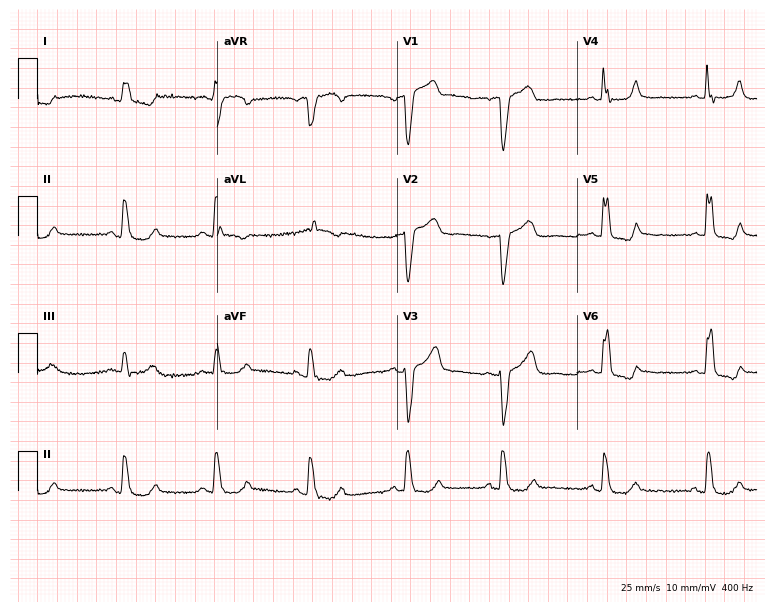
Electrocardiogram, a 66-year-old female. Interpretation includes left bundle branch block.